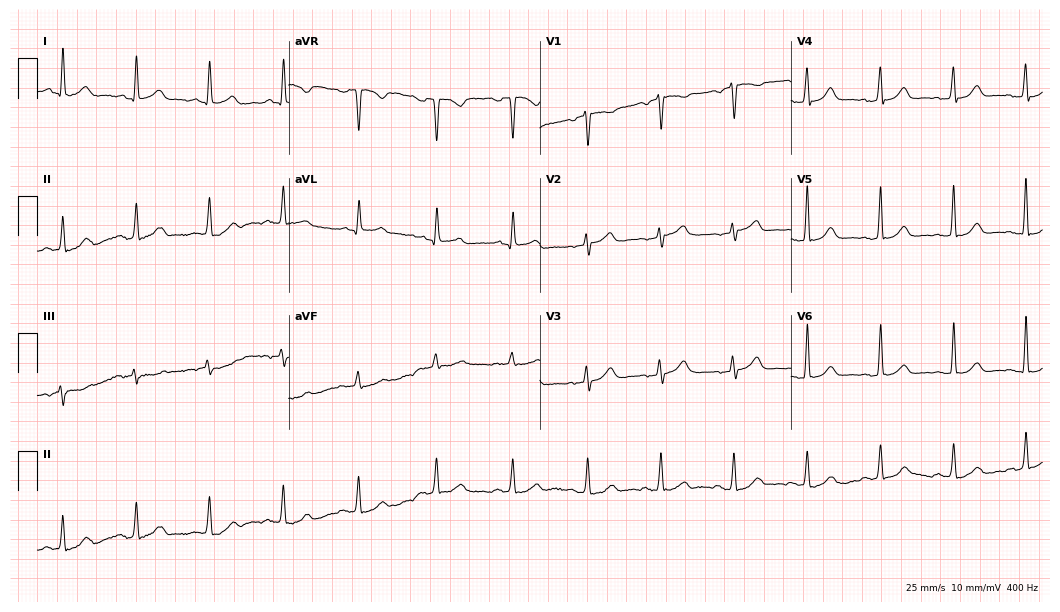
12-lead ECG from a woman, 60 years old. Recorded interpretation: within normal limits.